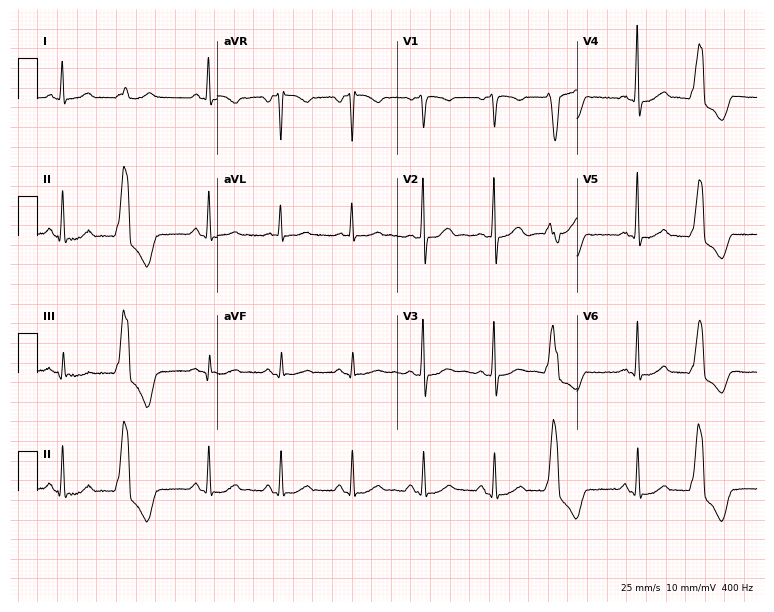
ECG (7.3-second recording at 400 Hz) — a female patient, 49 years old. Labelled as a normal ECG.